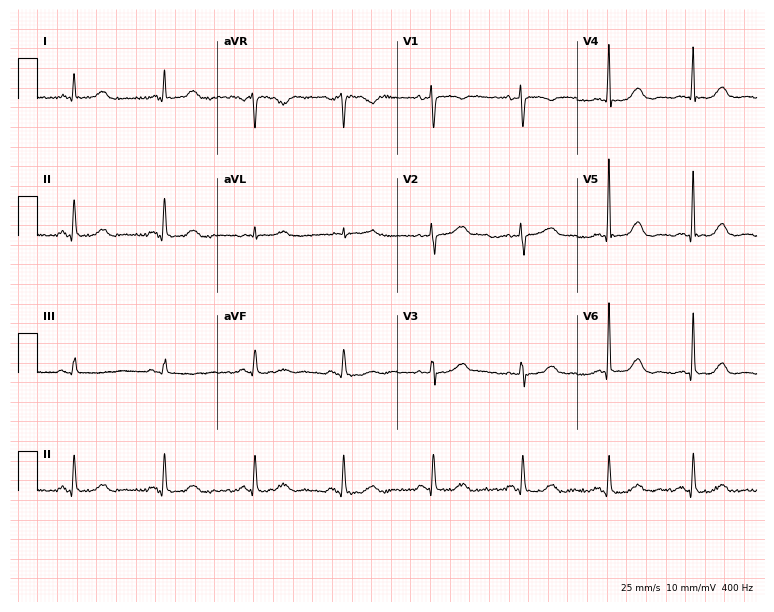
12-lead ECG (7.3-second recording at 400 Hz) from a female, 71 years old. Labelled as a normal ECG.